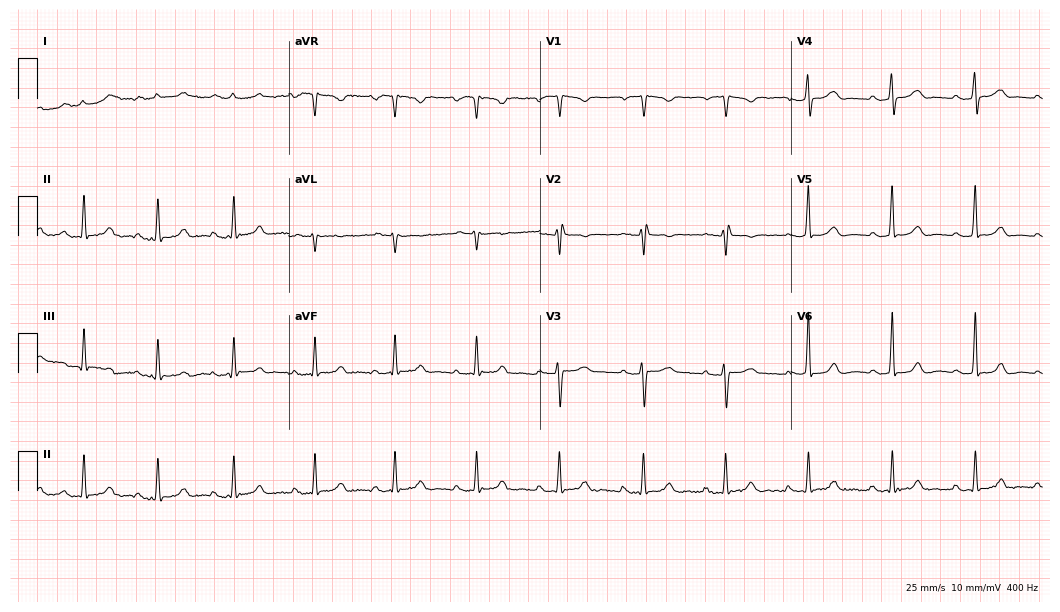
Resting 12-lead electrocardiogram. Patient: a 21-year-old female. None of these six findings is recorded: first-degree AV block, right bundle branch block, left bundle branch block, sinus bradycardia, atrial fibrillation, sinus tachycardia. Other findings, if any, are not listed.